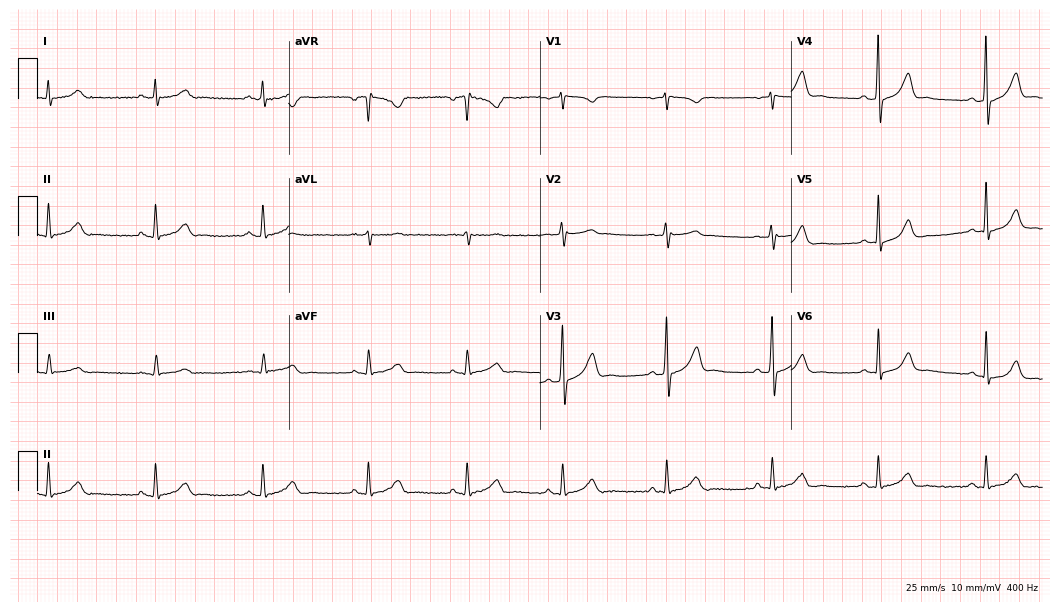
12-lead ECG from a 33-year-old man. No first-degree AV block, right bundle branch block (RBBB), left bundle branch block (LBBB), sinus bradycardia, atrial fibrillation (AF) or sinus tachycardia recorded for this tracing.